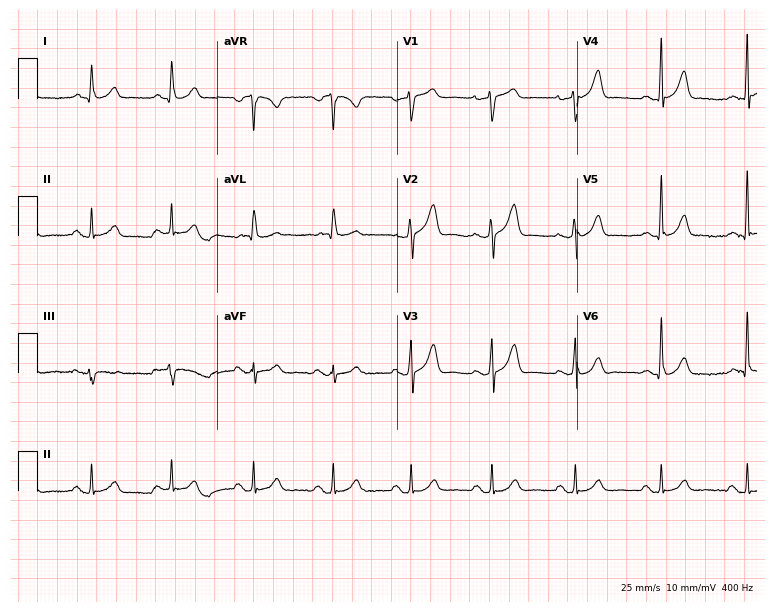
ECG (7.3-second recording at 400 Hz) — a man, 54 years old. Labelled as a normal ECG.